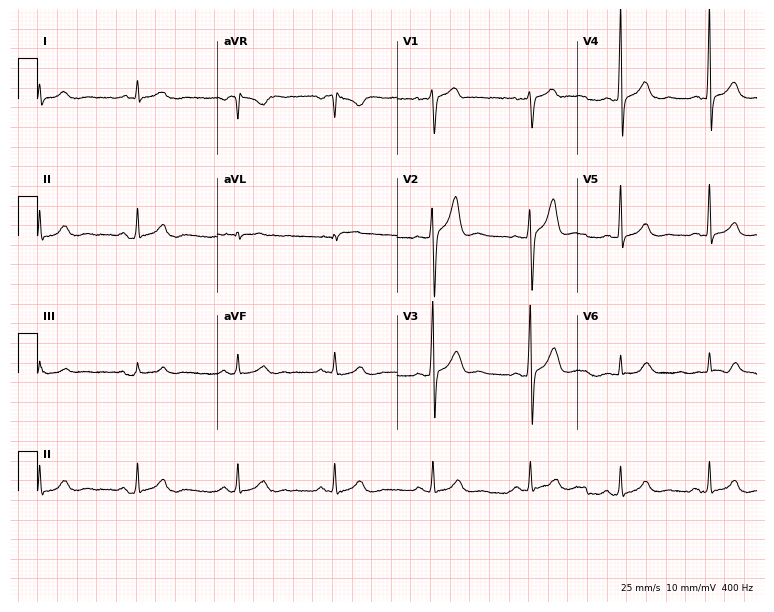
ECG — a 27-year-old man. Screened for six findings — first-degree AV block, right bundle branch block, left bundle branch block, sinus bradycardia, atrial fibrillation, sinus tachycardia — none is recorded. Only these six findings were labelled.